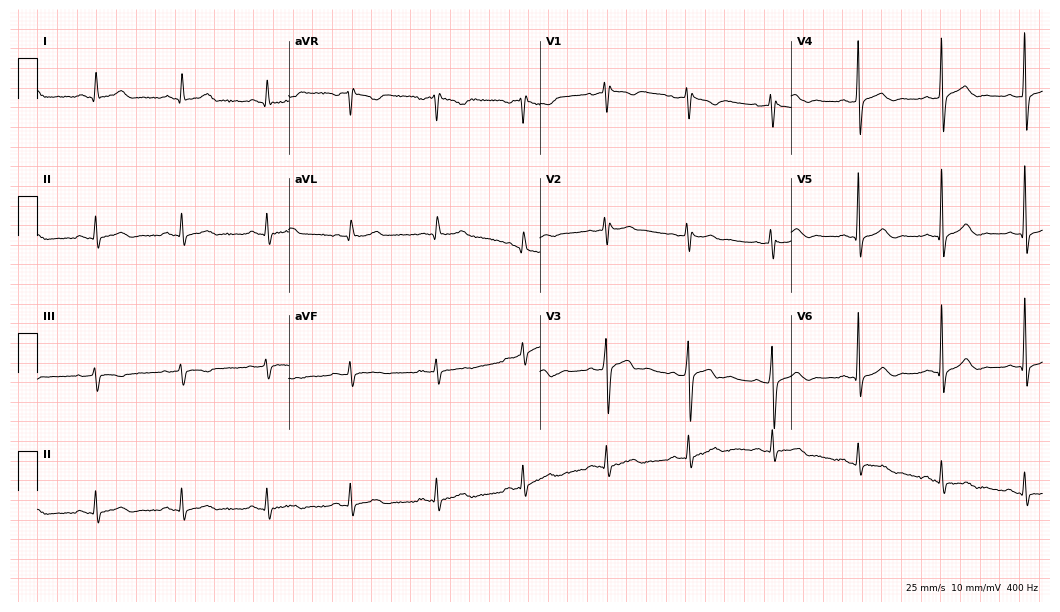
12-lead ECG from a man, 46 years old. Screened for six findings — first-degree AV block, right bundle branch block (RBBB), left bundle branch block (LBBB), sinus bradycardia, atrial fibrillation (AF), sinus tachycardia — none is recorded.